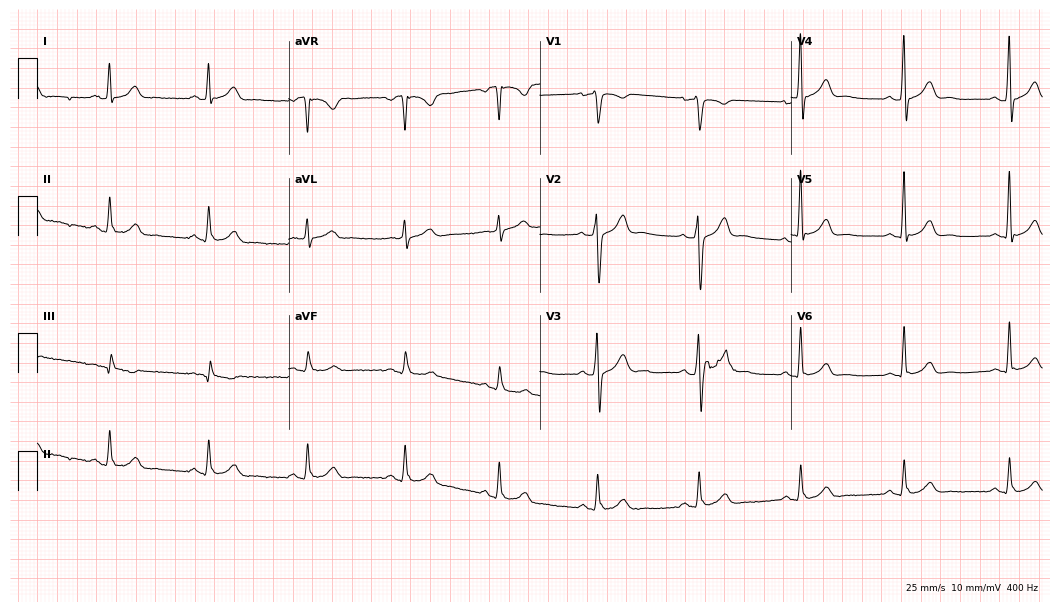
Resting 12-lead electrocardiogram (10.2-second recording at 400 Hz). Patient: a 39-year-old man. Read as a normal ECG.